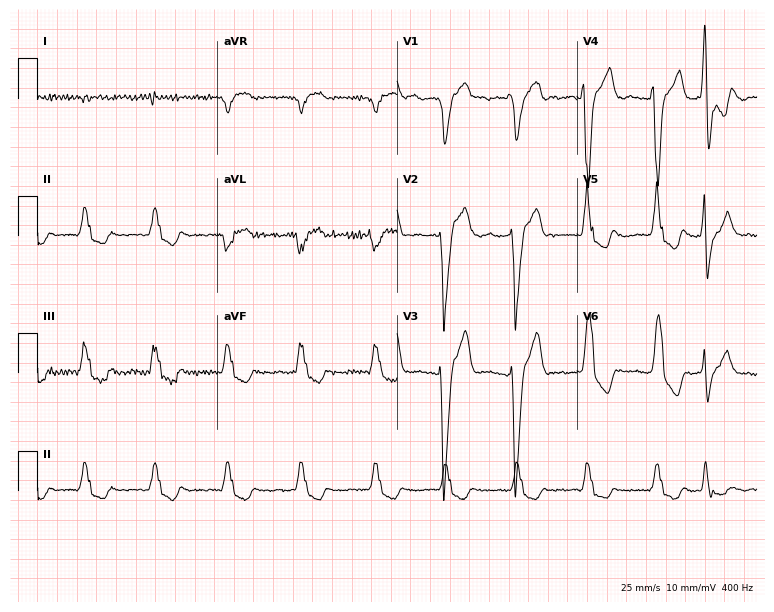
12-lead ECG from a female patient, 73 years old. No first-degree AV block, right bundle branch block (RBBB), left bundle branch block (LBBB), sinus bradycardia, atrial fibrillation (AF) or sinus tachycardia recorded for this tracing. Only these six findings were labelled.